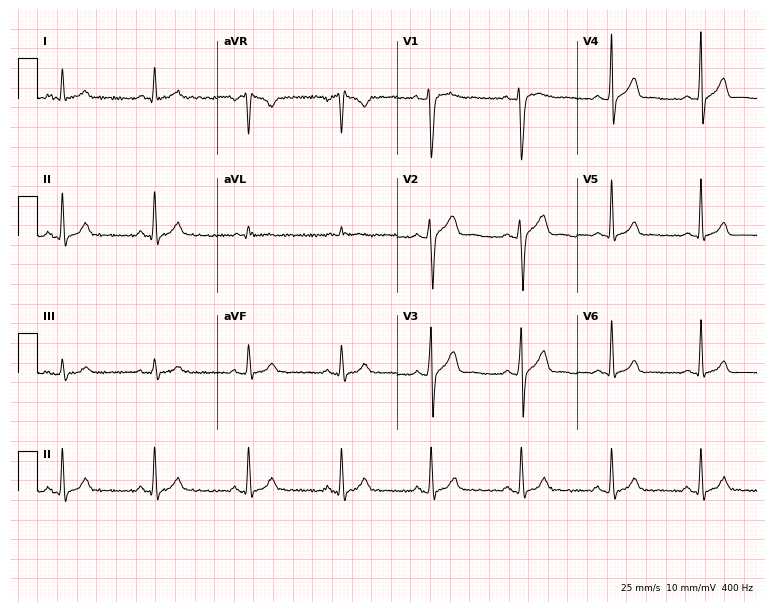
Resting 12-lead electrocardiogram (7.3-second recording at 400 Hz). Patient: a 36-year-old male. Read as a normal ECG.